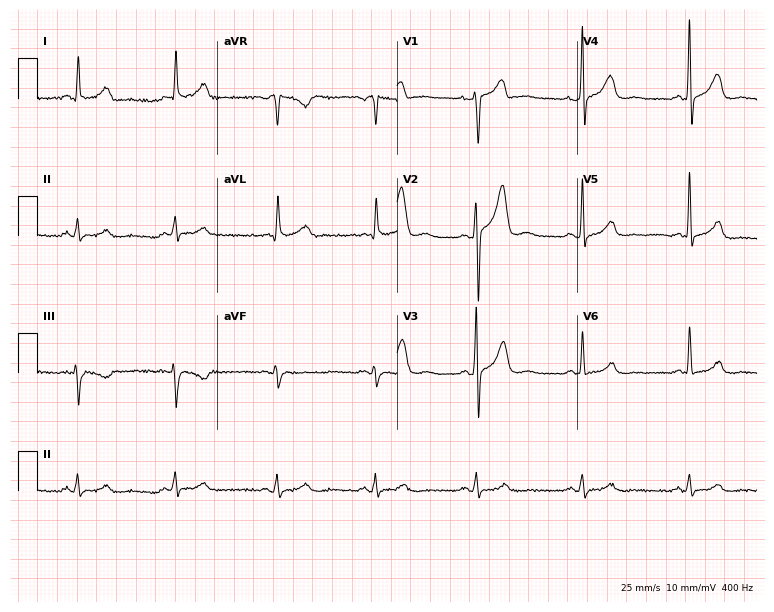
ECG (7.3-second recording at 400 Hz) — a man, 56 years old. Screened for six findings — first-degree AV block, right bundle branch block, left bundle branch block, sinus bradycardia, atrial fibrillation, sinus tachycardia — none is recorded.